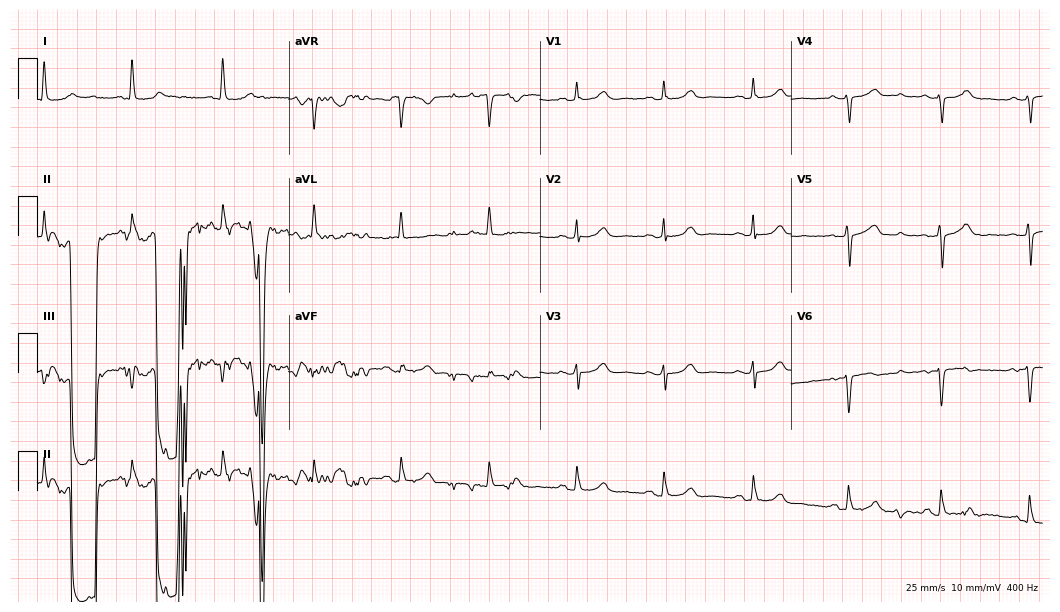
Resting 12-lead electrocardiogram. Patient: a 67-year-old female. None of these six findings is recorded: first-degree AV block, right bundle branch block, left bundle branch block, sinus bradycardia, atrial fibrillation, sinus tachycardia.